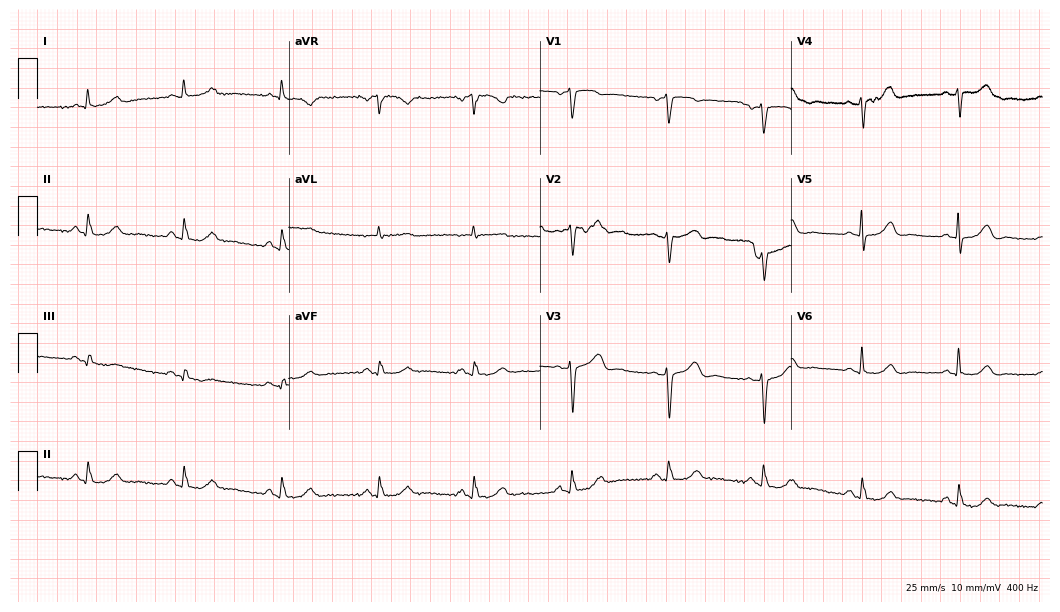
12-lead ECG from a 70-year-old female. Screened for six findings — first-degree AV block, right bundle branch block, left bundle branch block, sinus bradycardia, atrial fibrillation, sinus tachycardia — none is recorded.